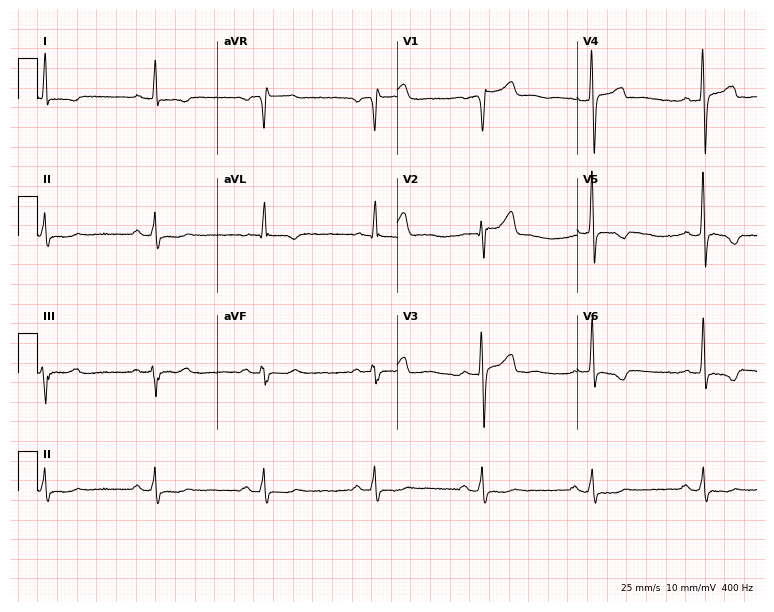
12-lead ECG from a male patient, 56 years old (7.3-second recording at 400 Hz). No first-degree AV block, right bundle branch block, left bundle branch block, sinus bradycardia, atrial fibrillation or sinus tachycardia recorded for this tracing.